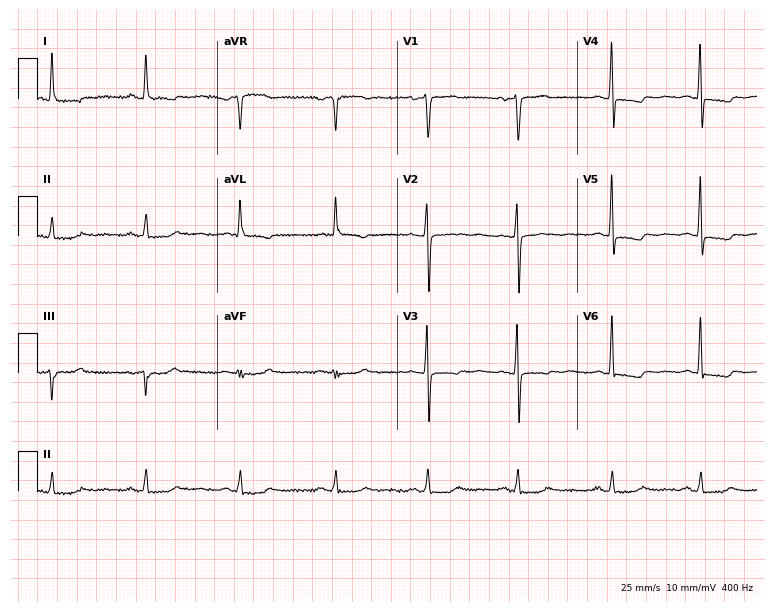
ECG — a female patient, 67 years old. Screened for six findings — first-degree AV block, right bundle branch block, left bundle branch block, sinus bradycardia, atrial fibrillation, sinus tachycardia — none is recorded. Findings outside these six are not listed.